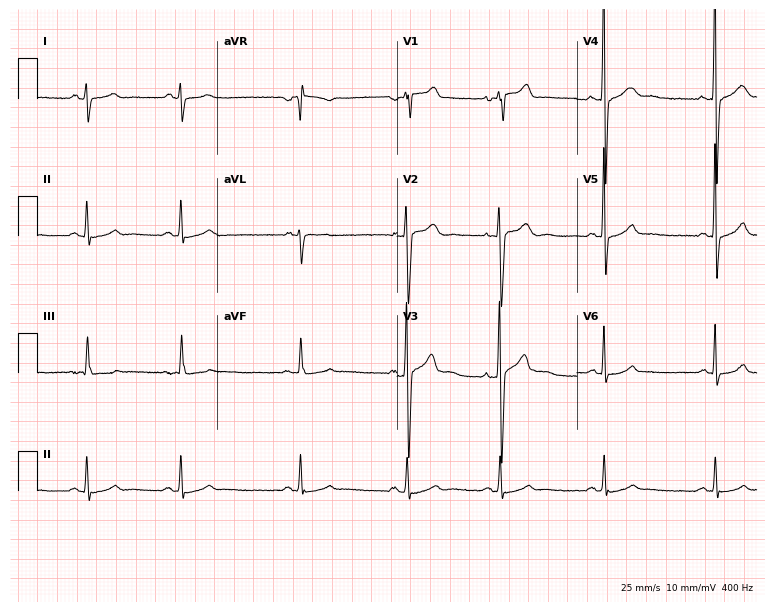
ECG (7.3-second recording at 400 Hz) — a man, 17 years old. Screened for six findings — first-degree AV block, right bundle branch block, left bundle branch block, sinus bradycardia, atrial fibrillation, sinus tachycardia — none is recorded.